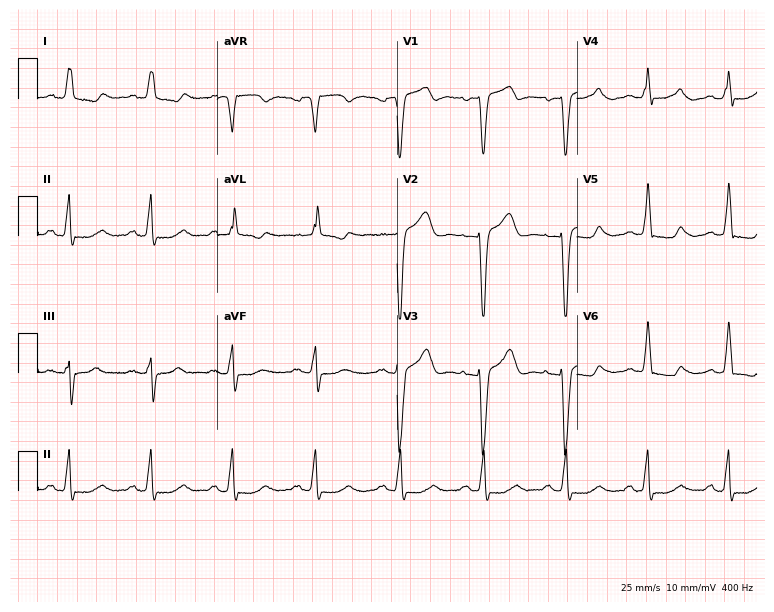
Resting 12-lead electrocardiogram (7.3-second recording at 400 Hz). Patient: a female, 77 years old. None of these six findings is recorded: first-degree AV block, right bundle branch block, left bundle branch block, sinus bradycardia, atrial fibrillation, sinus tachycardia.